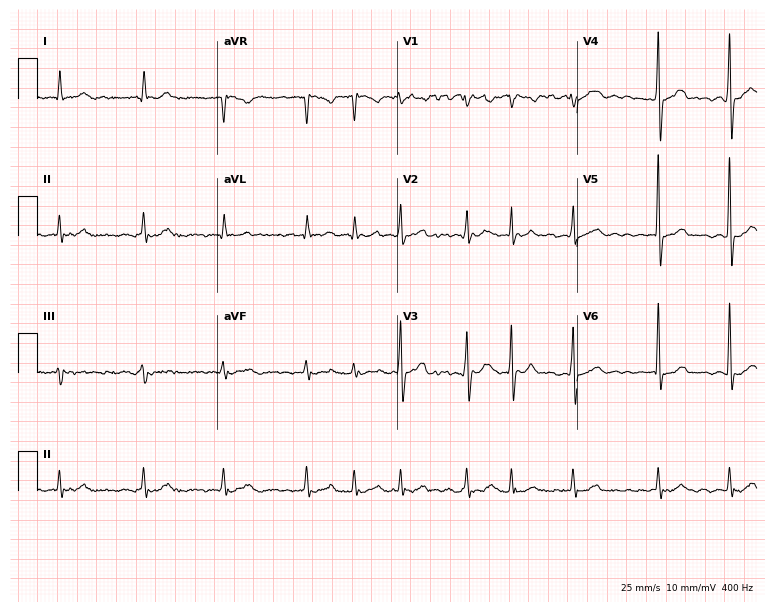
Standard 12-lead ECG recorded from a 65-year-old male patient. The tracing shows atrial fibrillation (AF).